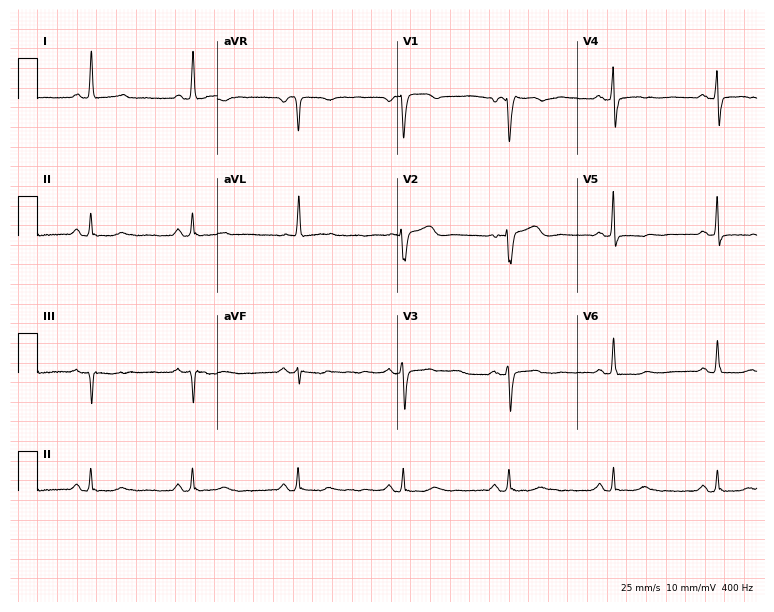
12-lead ECG (7.3-second recording at 400 Hz) from a 79-year-old female patient. Screened for six findings — first-degree AV block, right bundle branch block, left bundle branch block, sinus bradycardia, atrial fibrillation, sinus tachycardia — none is recorded. Other findings, if any, are not listed.